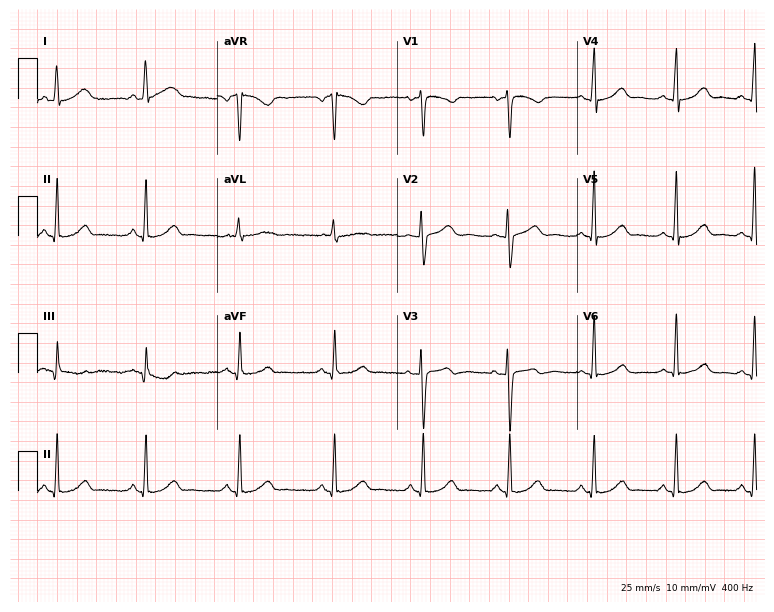
ECG (7.3-second recording at 400 Hz) — a 43-year-old female patient. Labelled as a normal ECG.